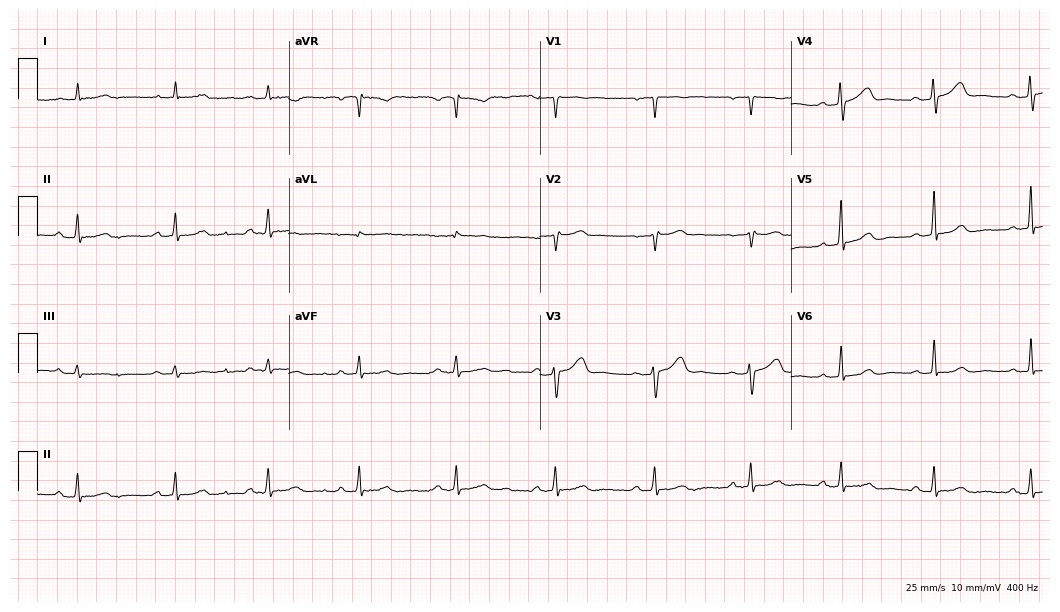
ECG — a female, 40 years old. Screened for six findings — first-degree AV block, right bundle branch block, left bundle branch block, sinus bradycardia, atrial fibrillation, sinus tachycardia — none is recorded. Findings outside these six are not listed.